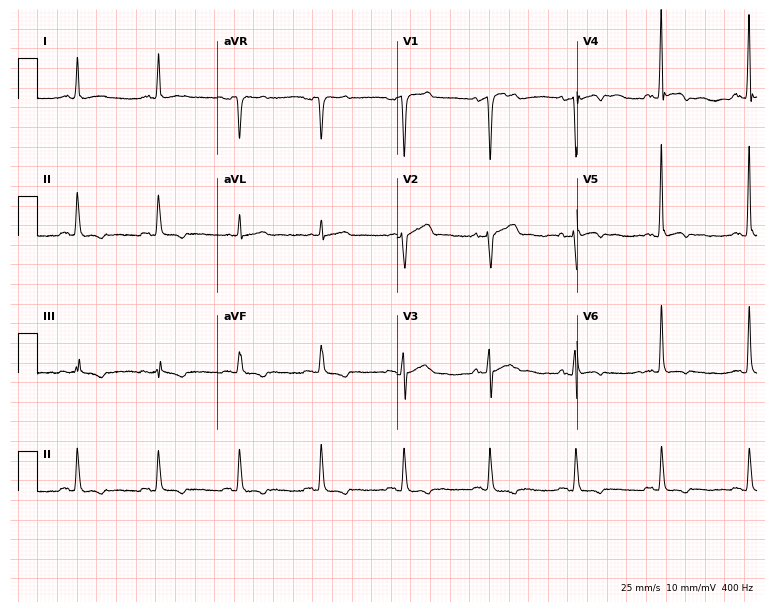
12-lead ECG from a male patient, 54 years old. Screened for six findings — first-degree AV block, right bundle branch block, left bundle branch block, sinus bradycardia, atrial fibrillation, sinus tachycardia — none is recorded.